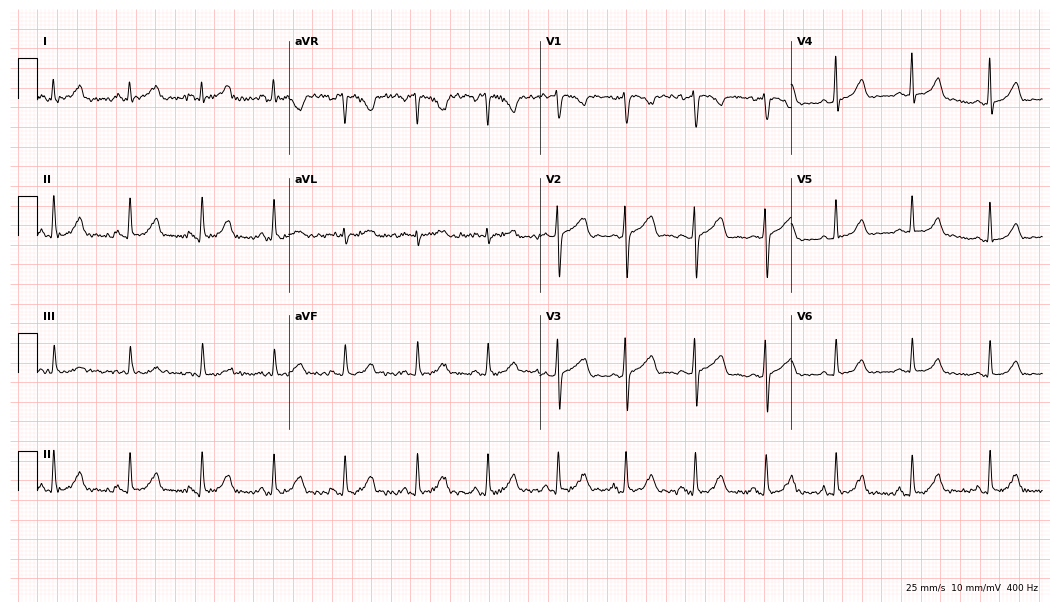
ECG (10.2-second recording at 400 Hz) — a 26-year-old female patient. Labelled as a normal ECG.